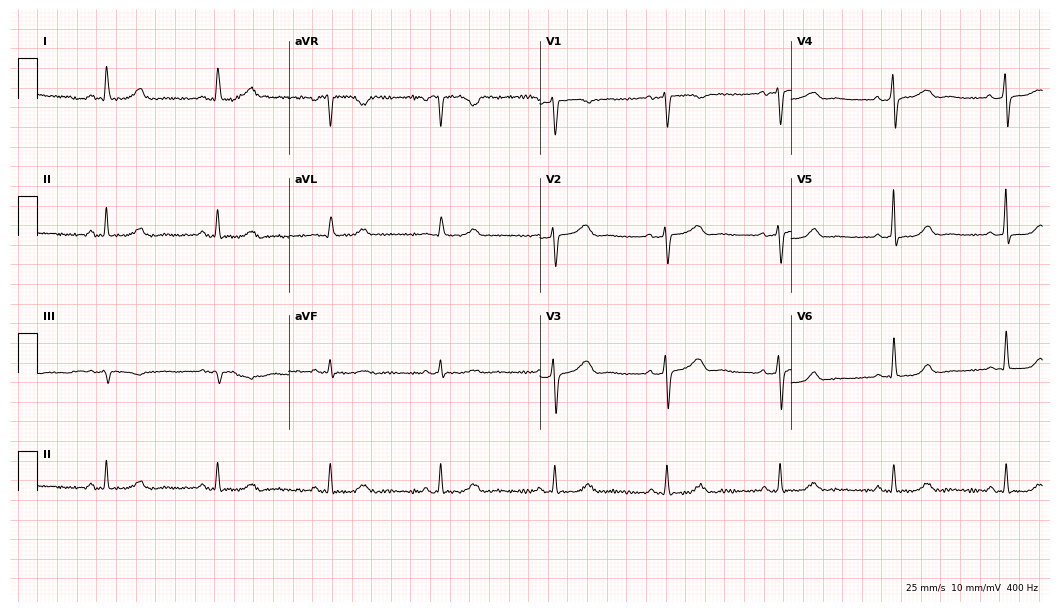
Electrocardiogram (10.2-second recording at 400 Hz), a 50-year-old woman. Overall reading on record: normal ECG.